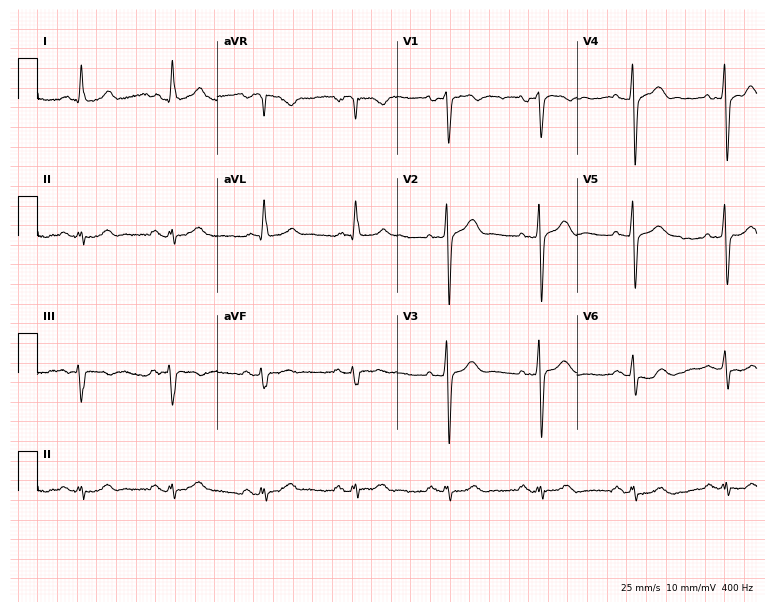
Electrocardiogram (7.3-second recording at 400 Hz), a male, 79 years old. Of the six screened findings (first-degree AV block, right bundle branch block, left bundle branch block, sinus bradycardia, atrial fibrillation, sinus tachycardia), none is recorded.